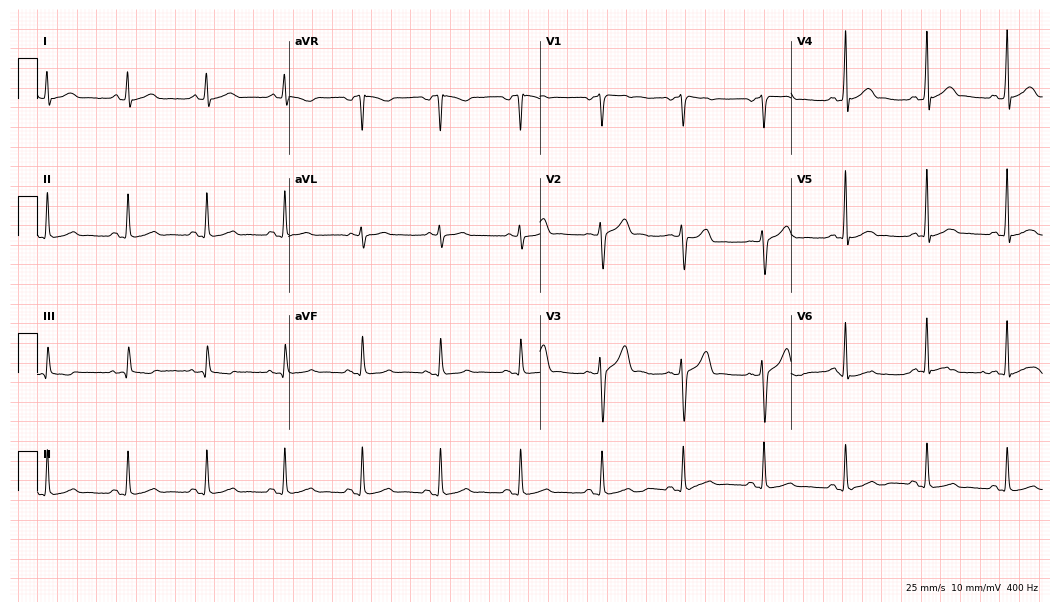
Standard 12-lead ECG recorded from a male, 46 years old (10.2-second recording at 400 Hz). Read as a normal ECG.